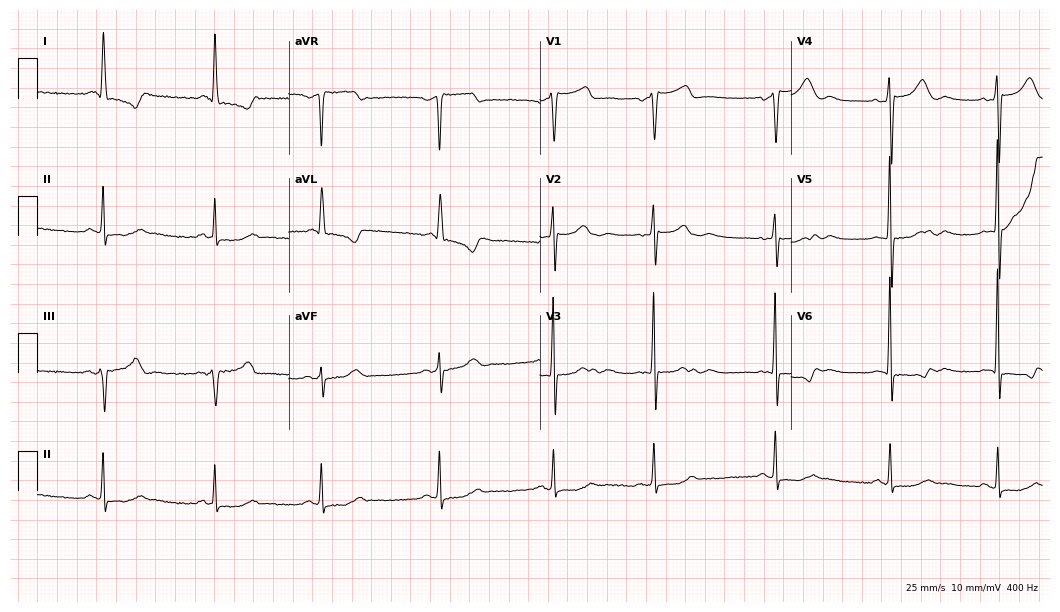
ECG (10.2-second recording at 400 Hz) — a woman, 54 years old. Screened for six findings — first-degree AV block, right bundle branch block (RBBB), left bundle branch block (LBBB), sinus bradycardia, atrial fibrillation (AF), sinus tachycardia — none is recorded. Only these six findings were labelled.